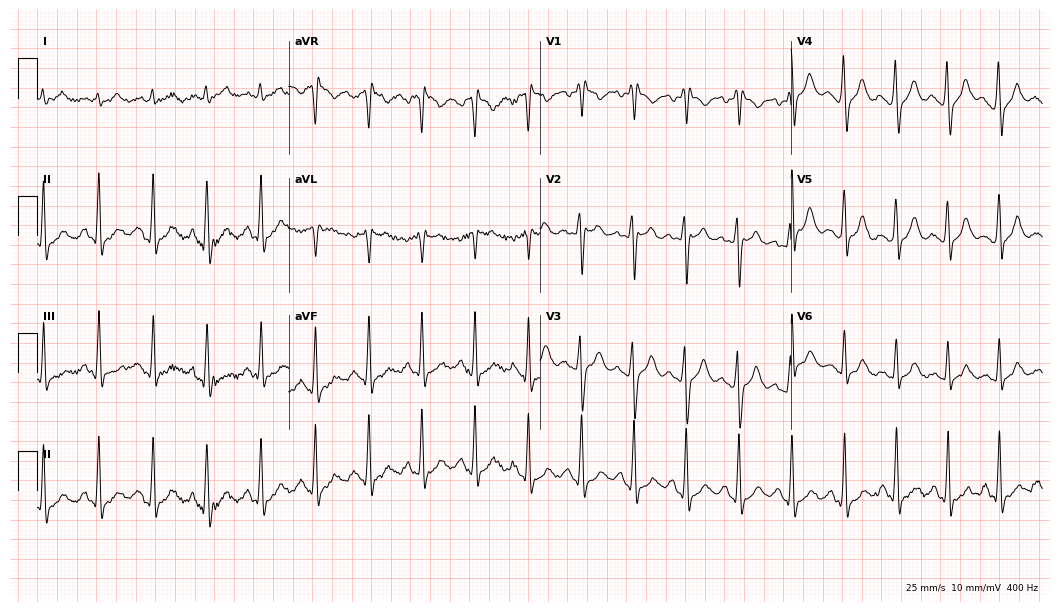
ECG — a man, 21 years old. Screened for six findings — first-degree AV block, right bundle branch block (RBBB), left bundle branch block (LBBB), sinus bradycardia, atrial fibrillation (AF), sinus tachycardia — none is recorded.